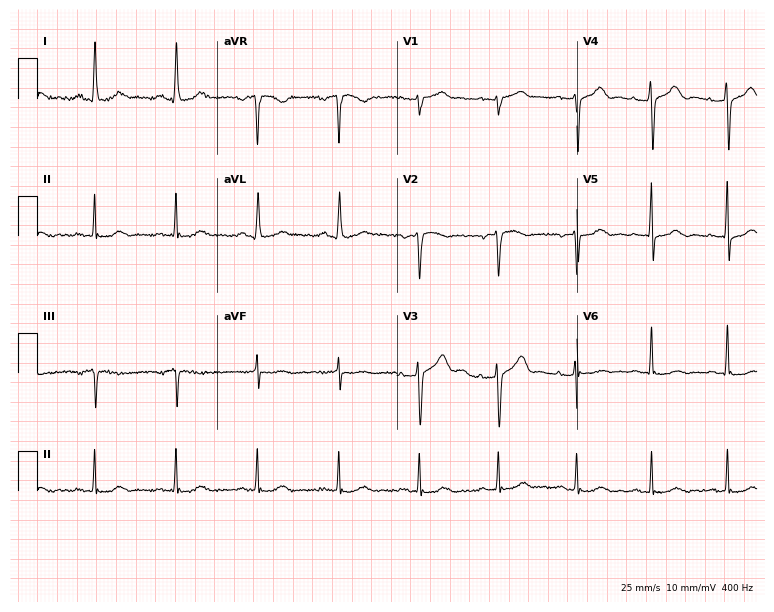
12-lead ECG from a 76-year-old female patient (7.3-second recording at 400 Hz). No first-degree AV block, right bundle branch block, left bundle branch block, sinus bradycardia, atrial fibrillation or sinus tachycardia recorded for this tracing.